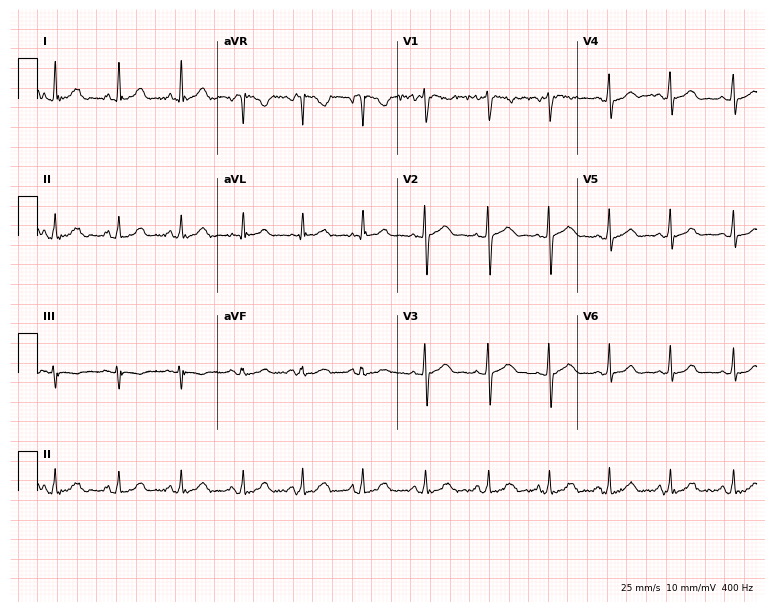
Standard 12-lead ECG recorded from a 27-year-old female patient (7.3-second recording at 400 Hz). Read as a normal ECG.